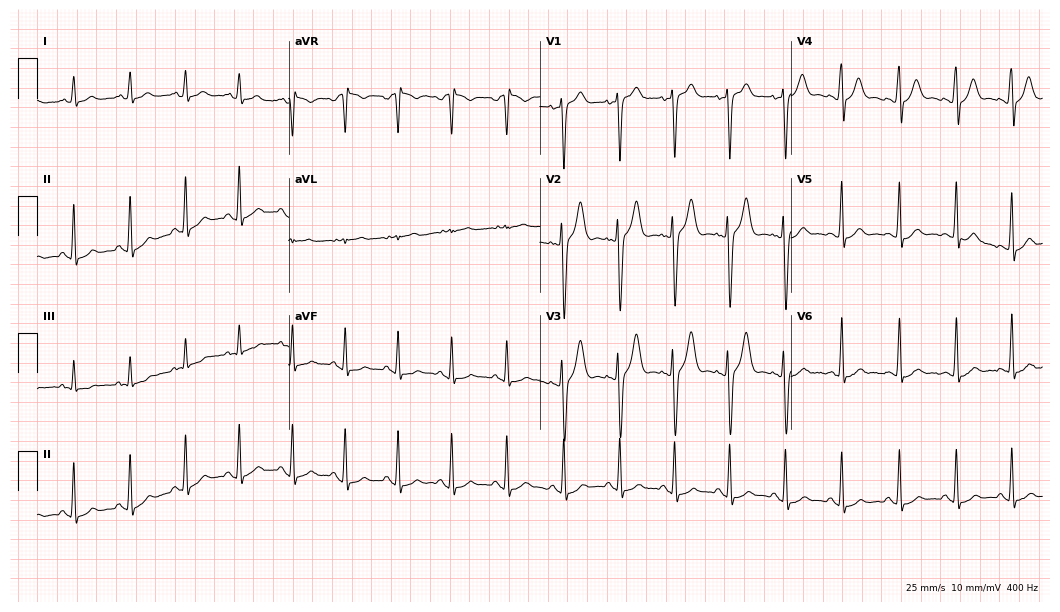
ECG — a 23-year-old male patient. Findings include sinus tachycardia (a sinus rate of 100 beats per minute or more).